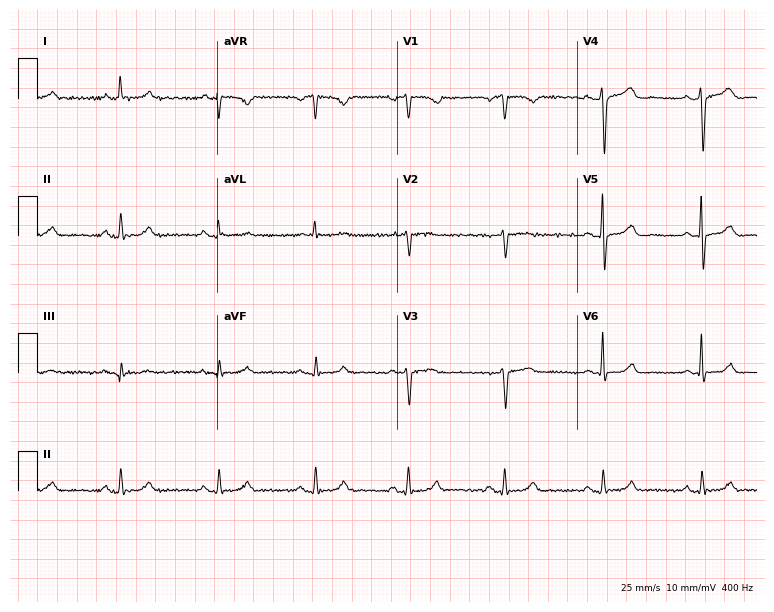
Standard 12-lead ECG recorded from a female patient, 79 years old (7.3-second recording at 400 Hz). None of these six findings is recorded: first-degree AV block, right bundle branch block, left bundle branch block, sinus bradycardia, atrial fibrillation, sinus tachycardia.